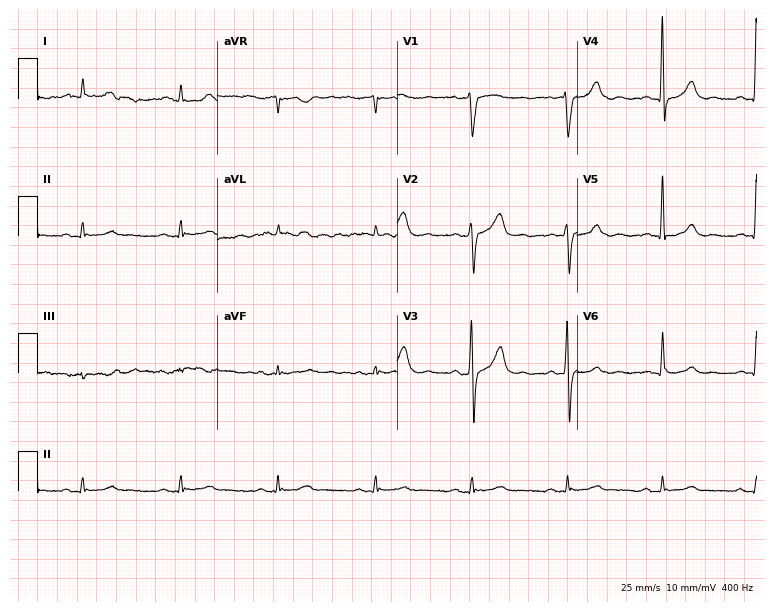
Standard 12-lead ECG recorded from a male, 77 years old (7.3-second recording at 400 Hz). Read as a normal ECG.